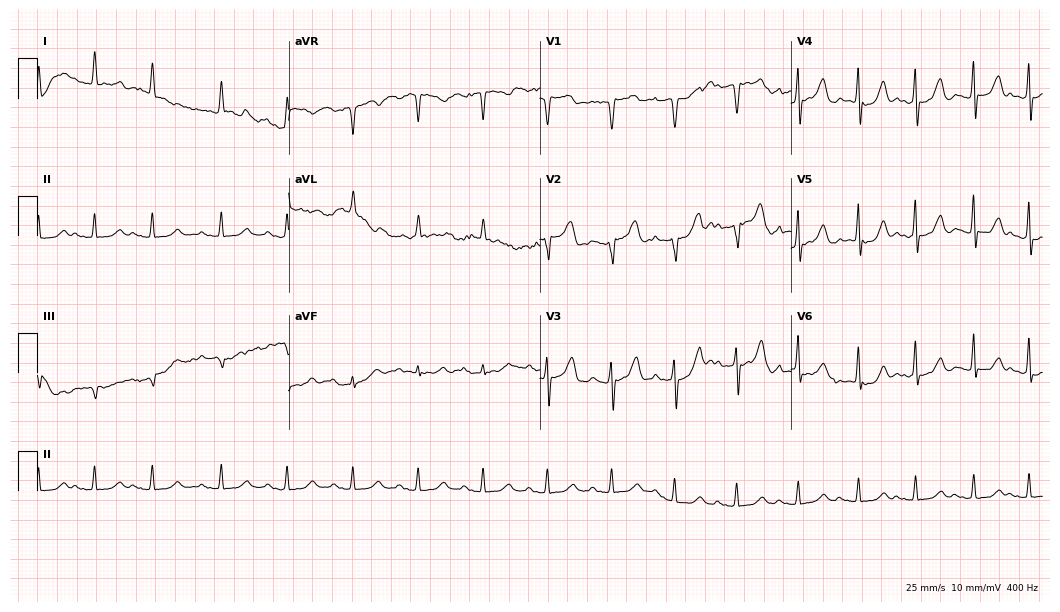
12-lead ECG from a female, 79 years old. Findings include first-degree AV block, atrial fibrillation (AF).